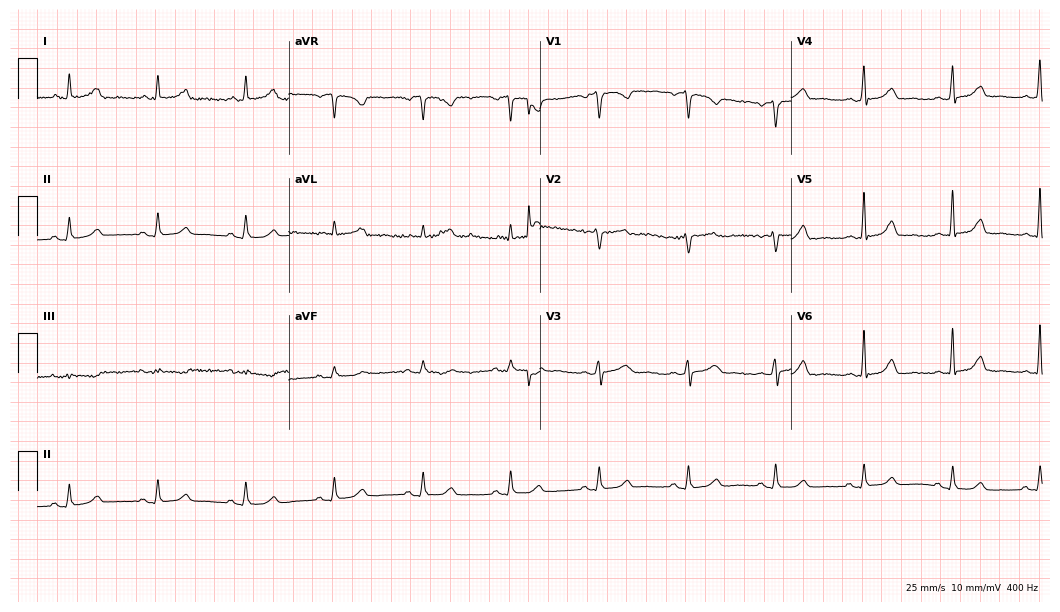
Standard 12-lead ECG recorded from a 64-year-old female. Read as a normal ECG.